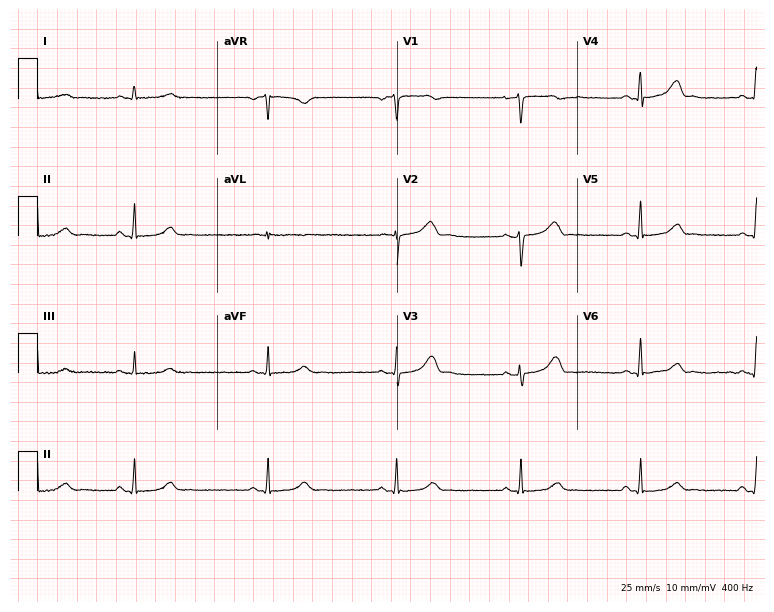
Standard 12-lead ECG recorded from a female patient, 58 years old. None of these six findings is recorded: first-degree AV block, right bundle branch block (RBBB), left bundle branch block (LBBB), sinus bradycardia, atrial fibrillation (AF), sinus tachycardia.